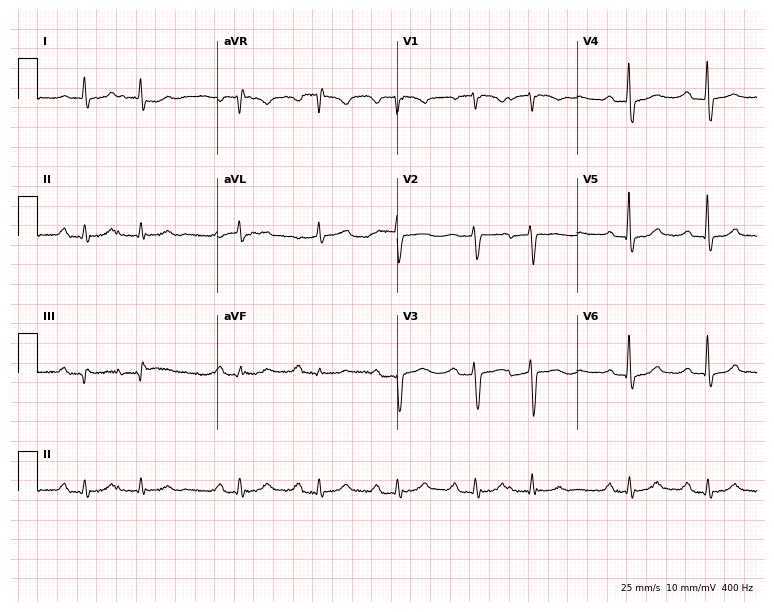
Electrocardiogram, a male, 81 years old. Interpretation includes first-degree AV block.